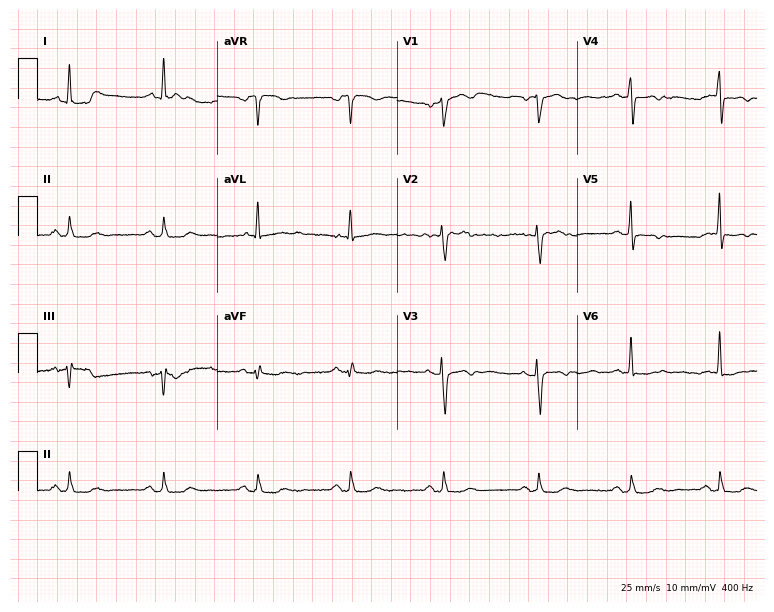
Electrocardiogram, a female patient, 66 years old. Of the six screened findings (first-degree AV block, right bundle branch block, left bundle branch block, sinus bradycardia, atrial fibrillation, sinus tachycardia), none is recorded. Other findings, if any, are not listed.